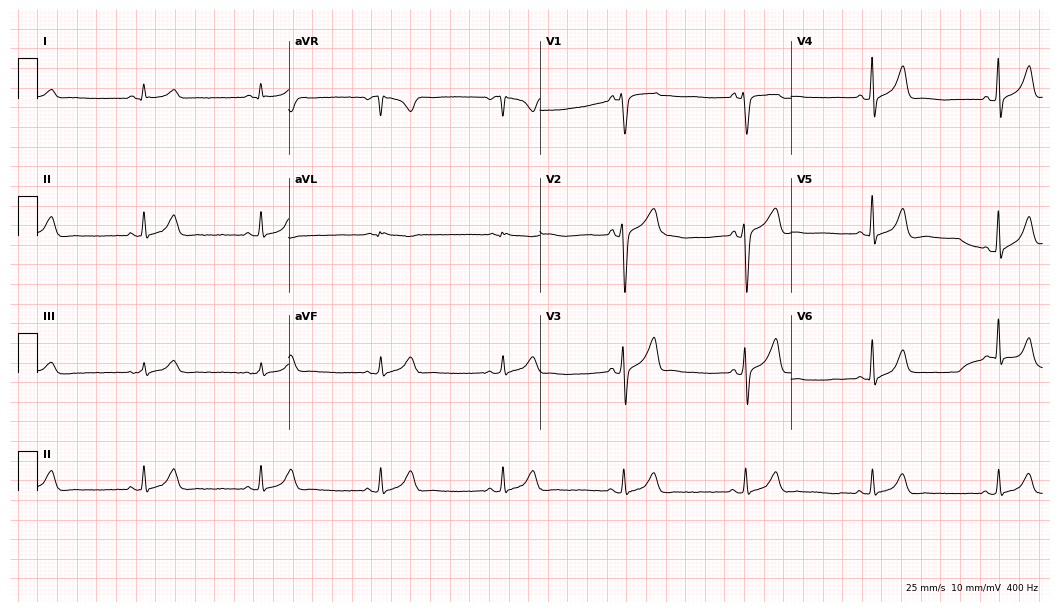
Electrocardiogram, a 58-year-old male. Interpretation includes sinus bradycardia (a sinus rate of 50 beats per minute or less).